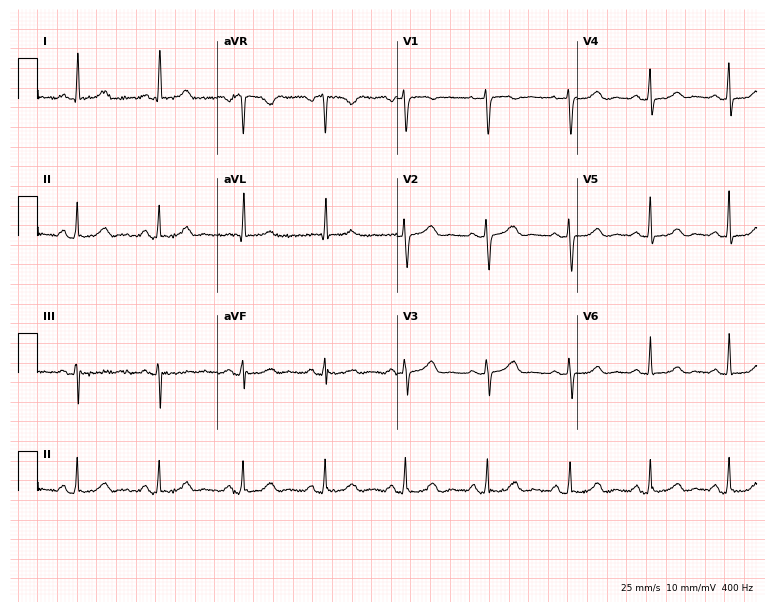
12-lead ECG from a female, 48 years old. No first-degree AV block, right bundle branch block, left bundle branch block, sinus bradycardia, atrial fibrillation or sinus tachycardia recorded for this tracing. Other findings, if any, are not listed.